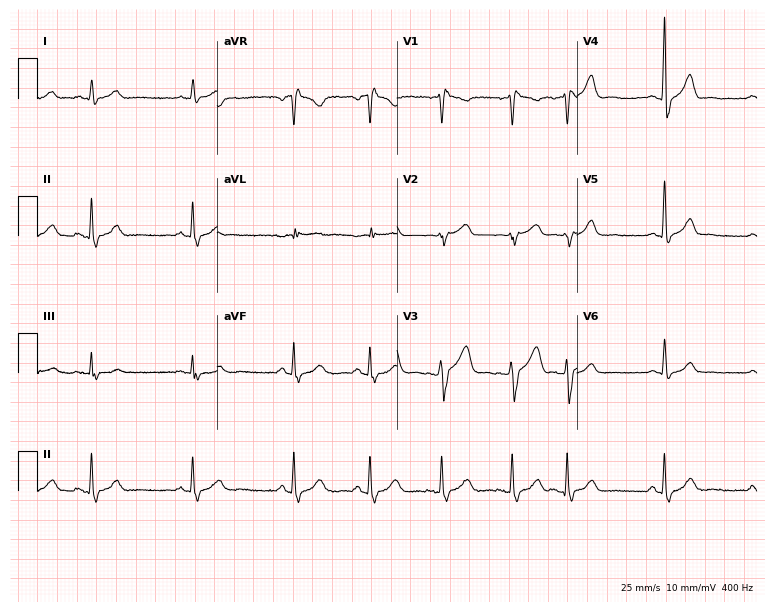
Resting 12-lead electrocardiogram. Patient: a male, 71 years old. The tracing shows right bundle branch block (RBBB).